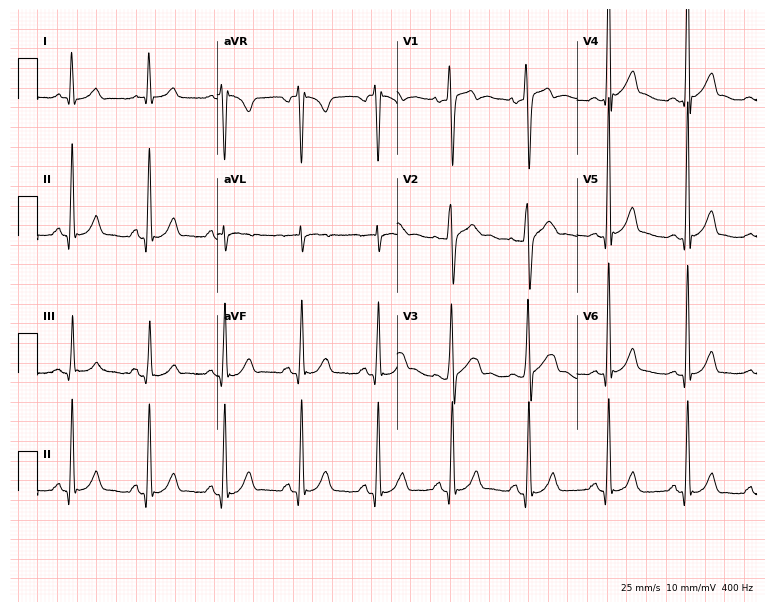
12-lead ECG from a male patient, 32 years old. Labelled as a normal ECG.